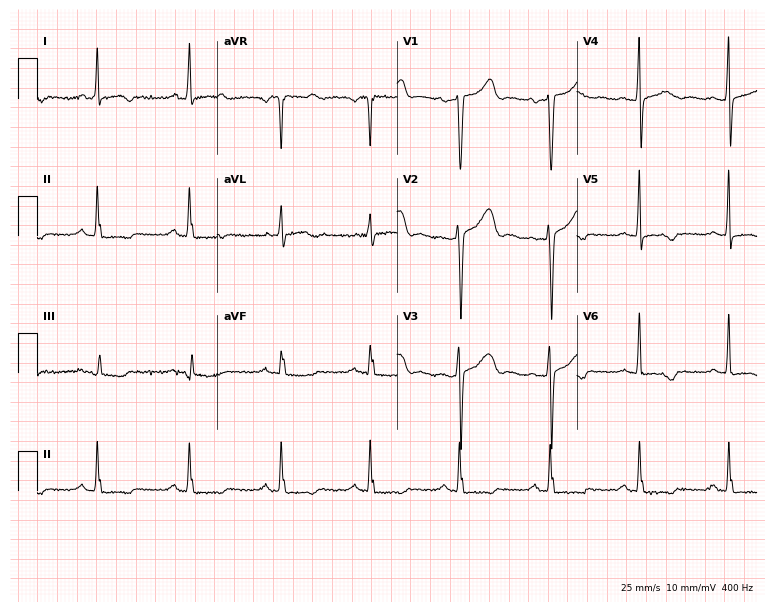
12-lead ECG (7.3-second recording at 400 Hz) from a 54-year-old female patient. Screened for six findings — first-degree AV block, right bundle branch block, left bundle branch block, sinus bradycardia, atrial fibrillation, sinus tachycardia — none is recorded. Other findings, if any, are not listed.